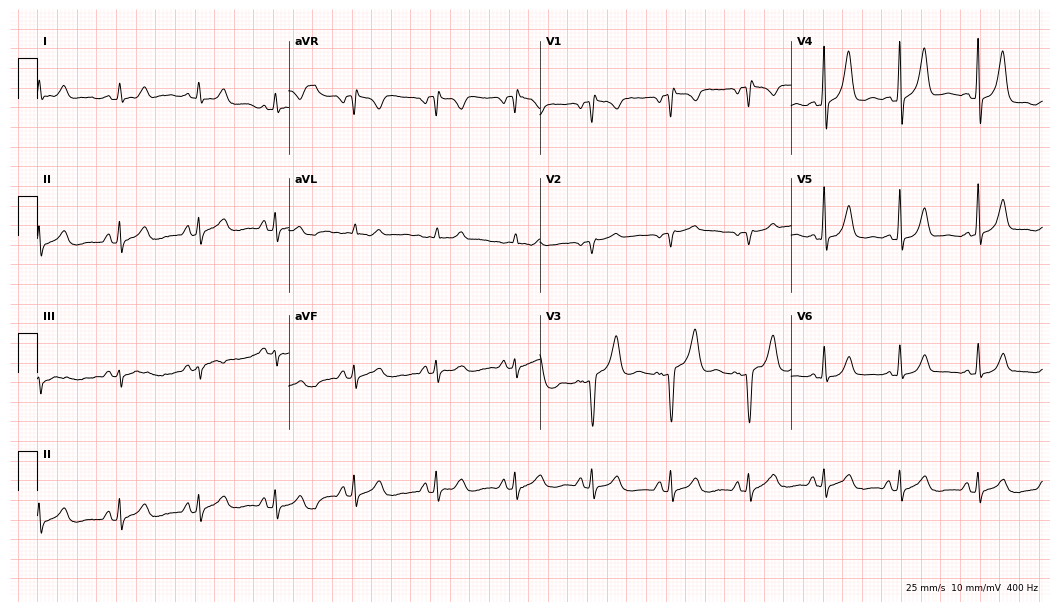
Resting 12-lead electrocardiogram. Patient: a 57-year-old man. None of these six findings is recorded: first-degree AV block, right bundle branch block (RBBB), left bundle branch block (LBBB), sinus bradycardia, atrial fibrillation (AF), sinus tachycardia.